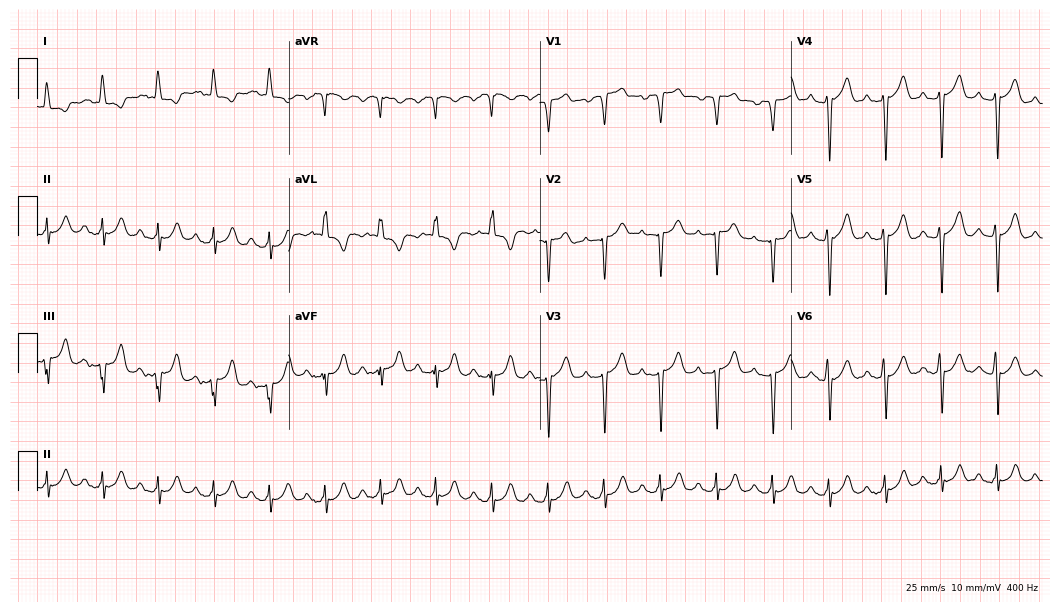
12-lead ECG (10.2-second recording at 400 Hz) from a 69-year-old man. Screened for six findings — first-degree AV block, right bundle branch block, left bundle branch block, sinus bradycardia, atrial fibrillation, sinus tachycardia — none is recorded.